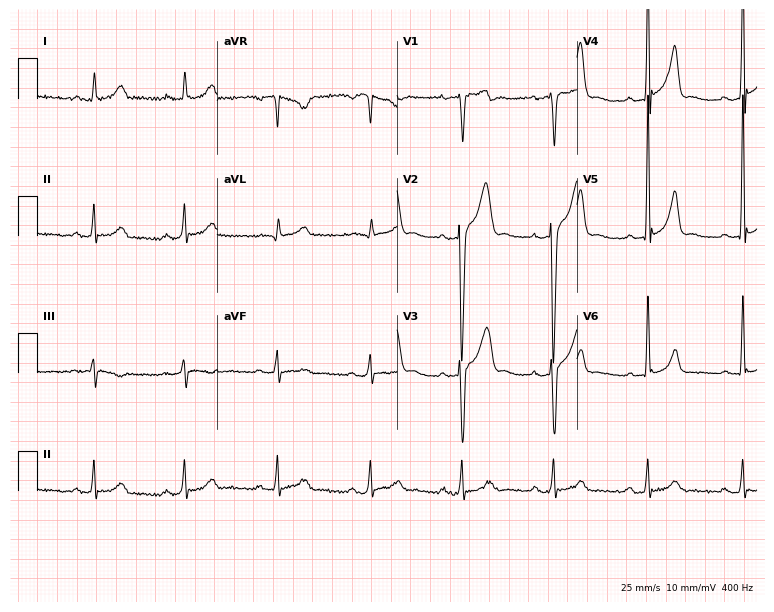
ECG (7.3-second recording at 400 Hz) — a male, 54 years old. Screened for six findings — first-degree AV block, right bundle branch block, left bundle branch block, sinus bradycardia, atrial fibrillation, sinus tachycardia — none is recorded. Findings outside these six are not listed.